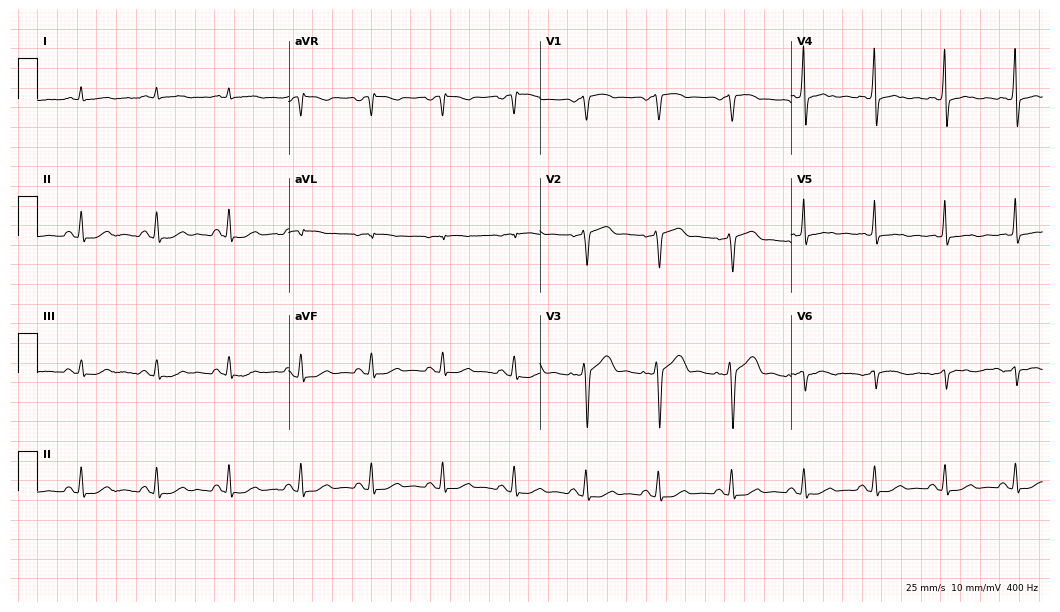
12-lead ECG from a male, 61 years old. Screened for six findings — first-degree AV block, right bundle branch block, left bundle branch block, sinus bradycardia, atrial fibrillation, sinus tachycardia — none is recorded.